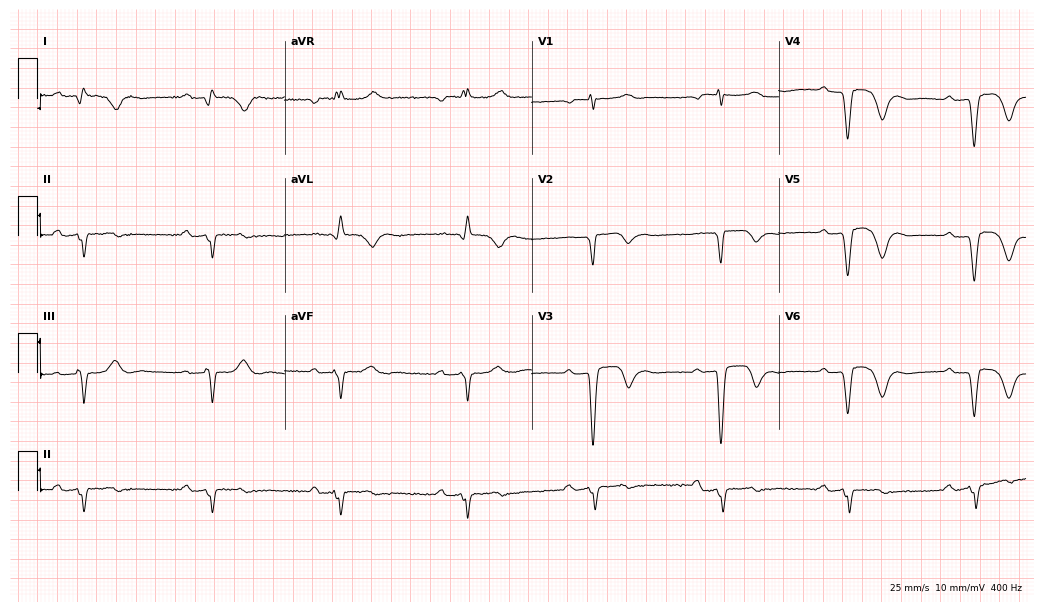
12-lead ECG (10.1-second recording at 400 Hz) from a 73-year-old male. Findings include first-degree AV block, sinus bradycardia (a sinus rate of 50 beats per minute or less).